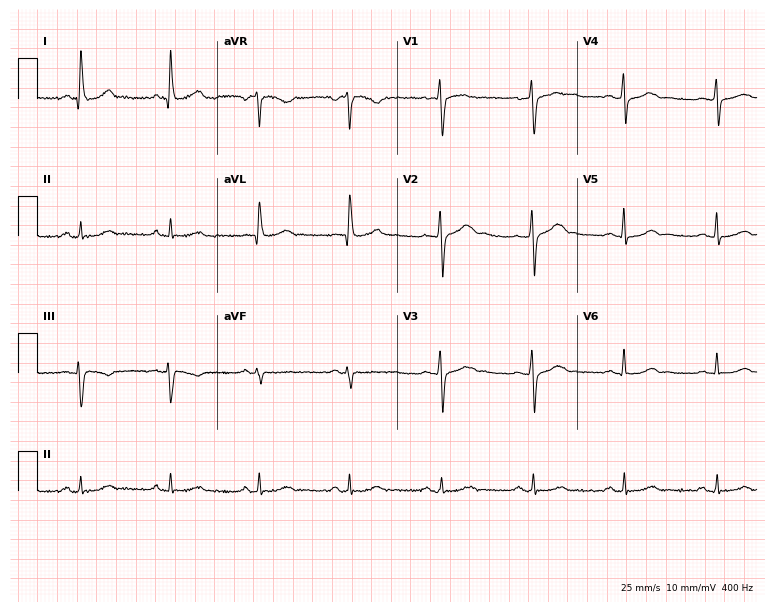
Standard 12-lead ECG recorded from a female patient, 61 years old (7.3-second recording at 400 Hz). Read as a normal ECG.